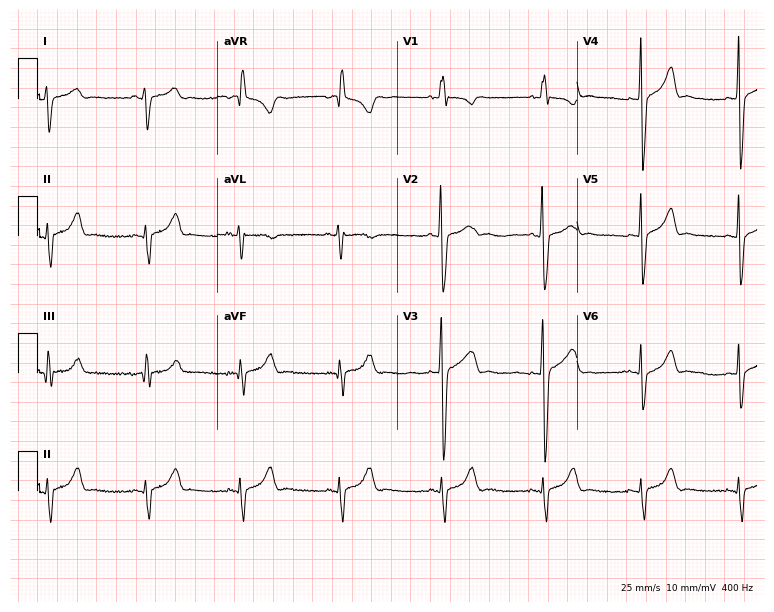
12-lead ECG from a 17-year-old male patient. No first-degree AV block, right bundle branch block (RBBB), left bundle branch block (LBBB), sinus bradycardia, atrial fibrillation (AF) or sinus tachycardia recorded for this tracing. Findings outside these six are not listed.